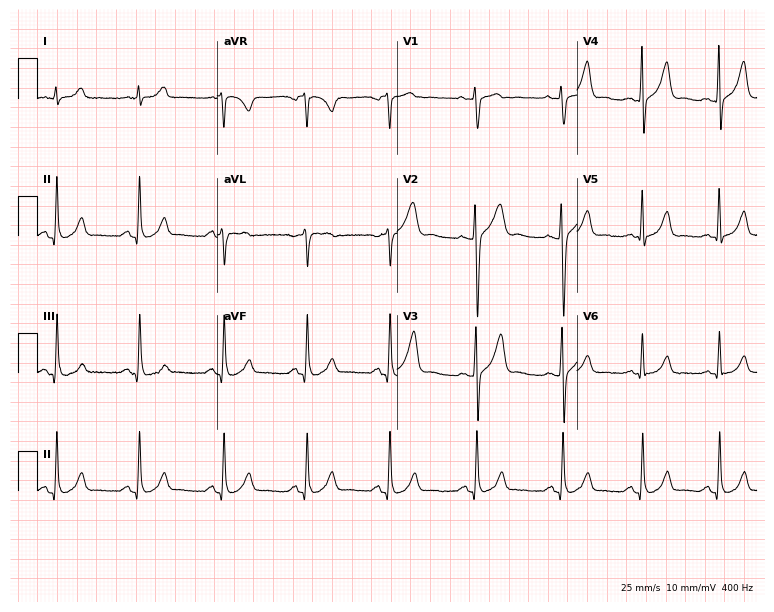
ECG — a male, 37 years old. Labelled as a normal ECG.